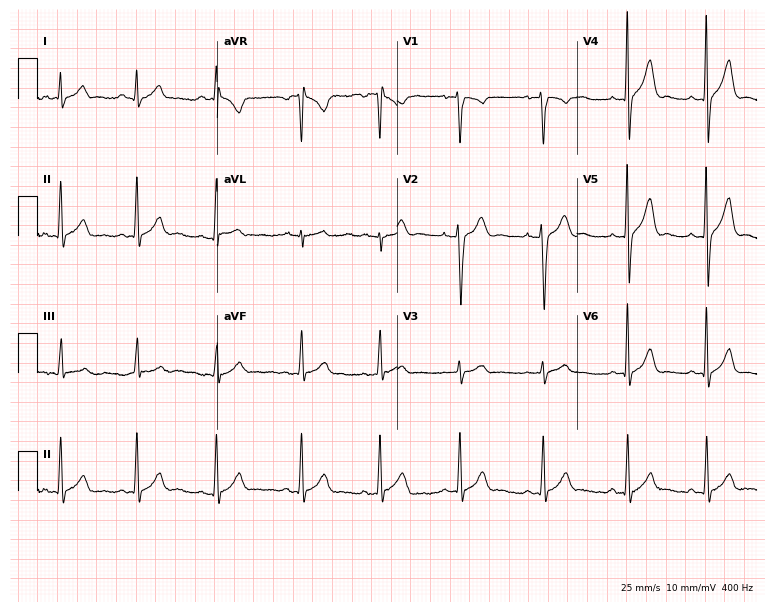
12-lead ECG from a man, 18 years old. Screened for six findings — first-degree AV block, right bundle branch block, left bundle branch block, sinus bradycardia, atrial fibrillation, sinus tachycardia — none is recorded. Findings outside these six are not listed.